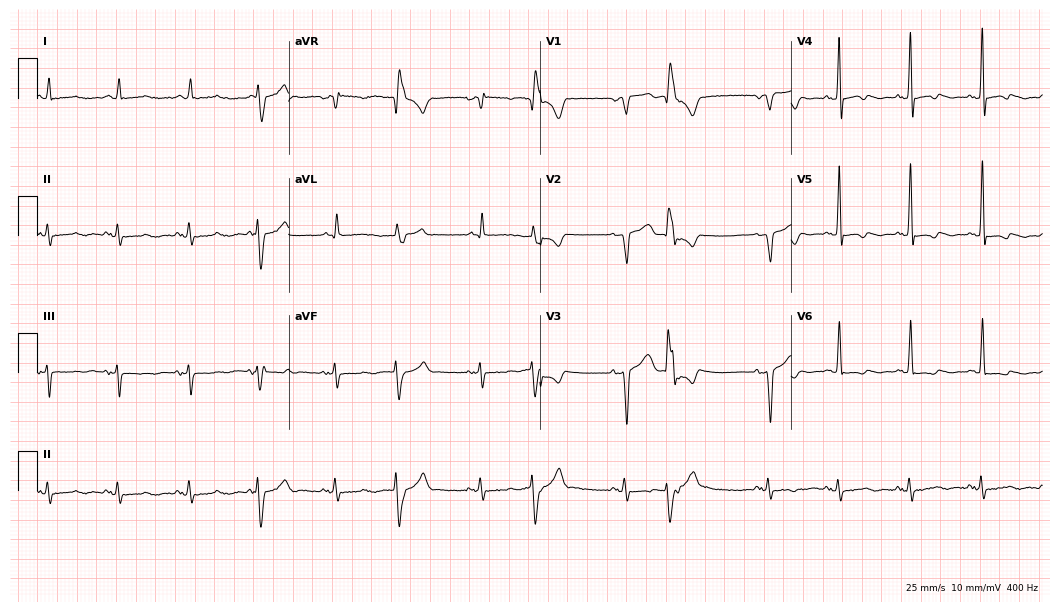
Electrocardiogram, a 70-year-old male. Of the six screened findings (first-degree AV block, right bundle branch block (RBBB), left bundle branch block (LBBB), sinus bradycardia, atrial fibrillation (AF), sinus tachycardia), none is recorded. Findings outside these six are not listed.